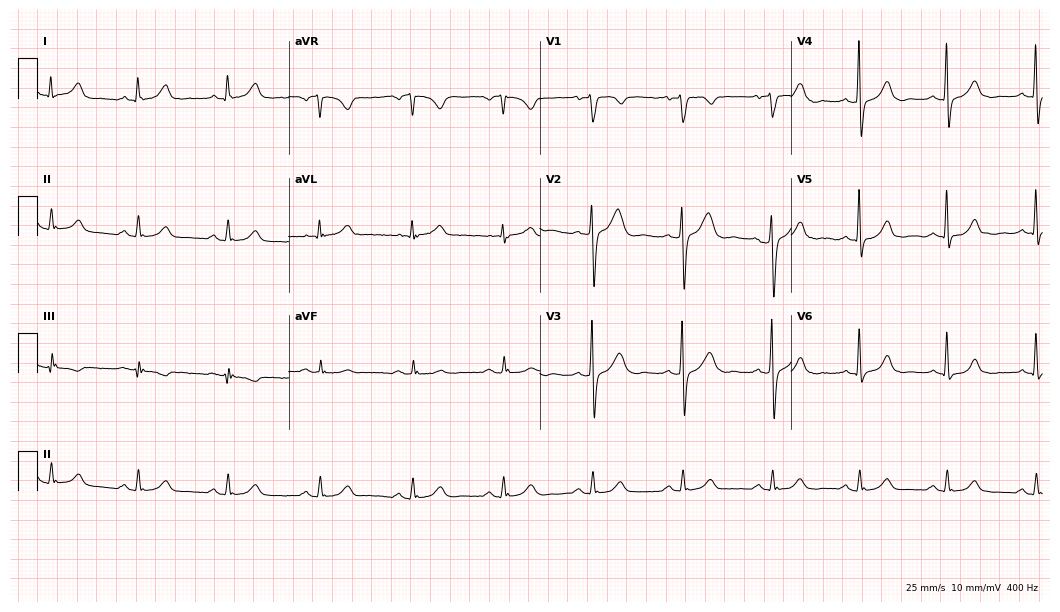
12-lead ECG from a male, 47 years old (10.2-second recording at 400 Hz). Recorded interpretation: within normal limits.